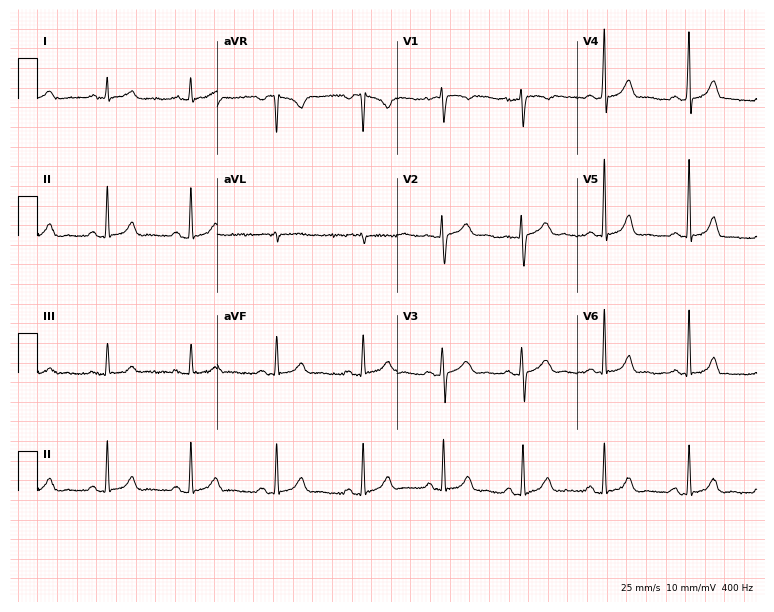
Standard 12-lead ECG recorded from a 31-year-old female (7.3-second recording at 400 Hz). Read as a normal ECG.